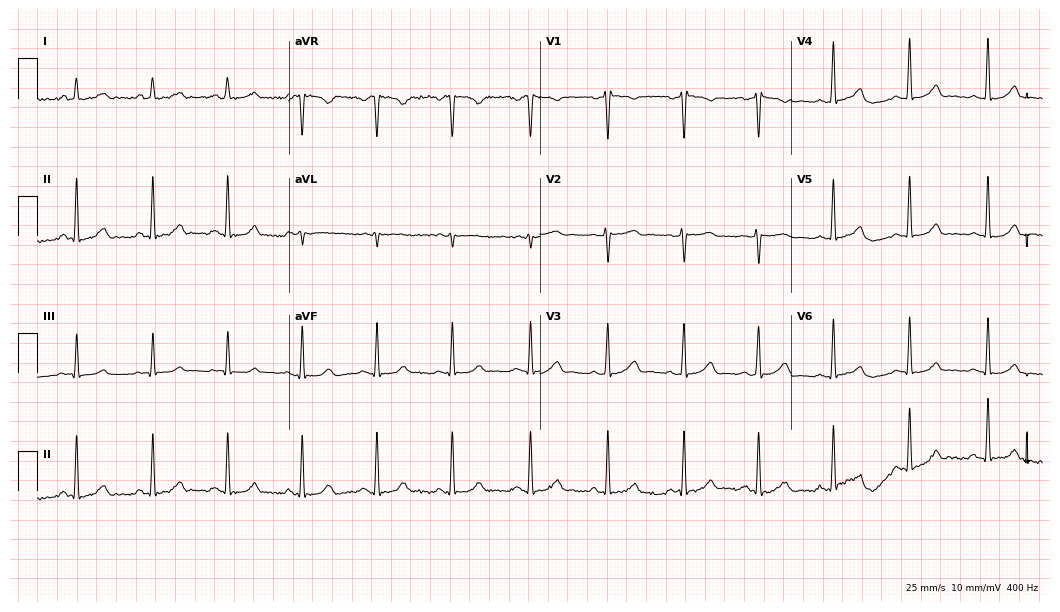
12-lead ECG from a 47-year-old female patient. Recorded interpretation: within normal limits.